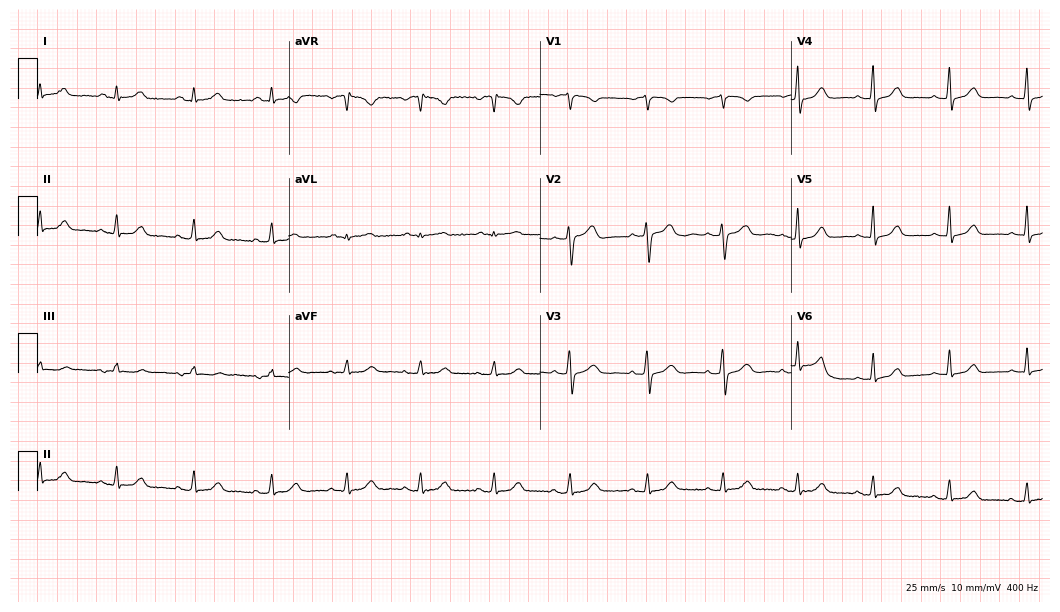
12-lead ECG (10.2-second recording at 400 Hz) from a woman, 50 years old. Screened for six findings — first-degree AV block, right bundle branch block, left bundle branch block, sinus bradycardia, atrial fibrillation, sinus tachycardia — none is recorded. Only these six findings were labelled.